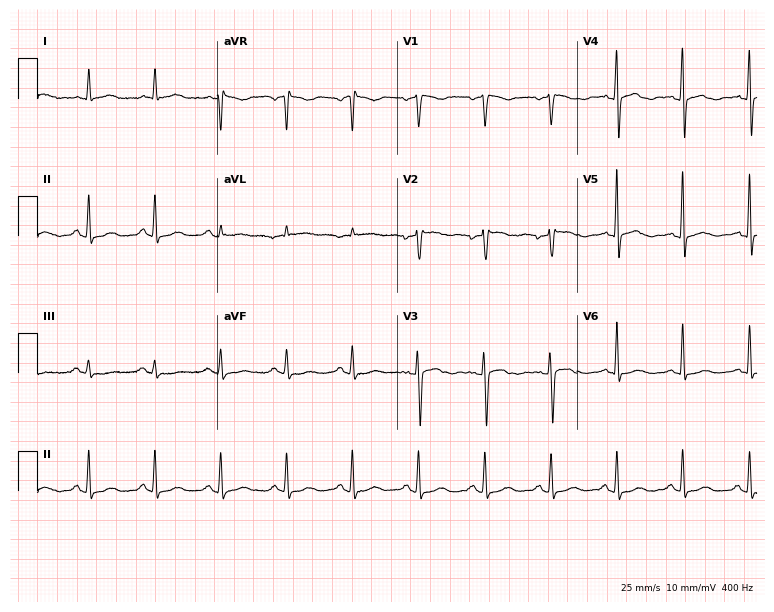
12-lead ECG from a 61-year-old woman. Screened for six findings — first-degree AV block, right bundle branch block, left bundle branch block, sinus bradycardia, atrial fibrillation, sinus tachycardia — none is recorded. Other findings, if any, are not listed.